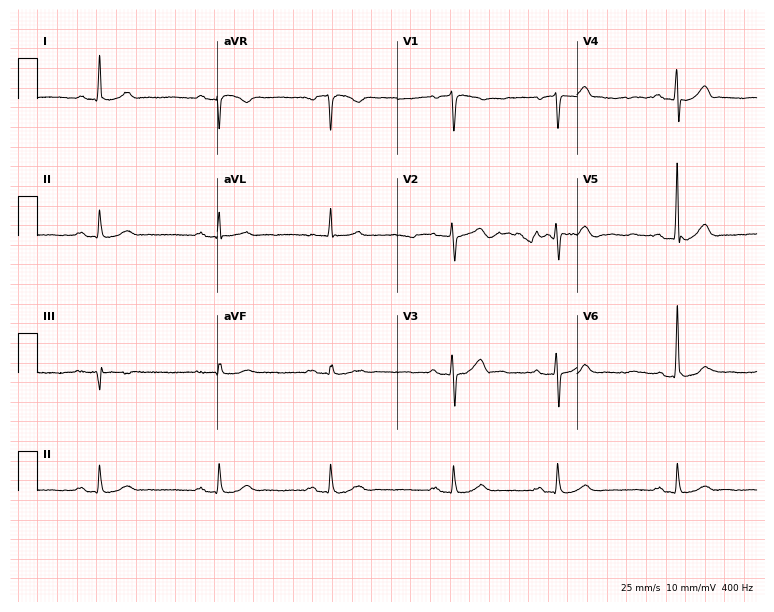
Resting 12-lead electrocardiogram. Patient: a man, 73 years old. The tracing shows first-degree AV block.